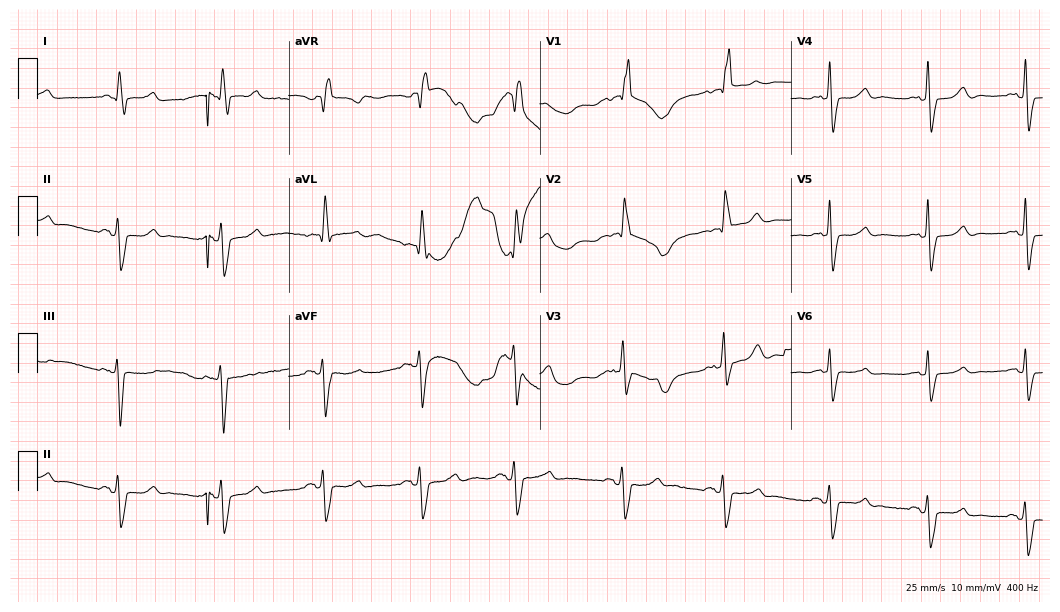
Electrocardiogram, a 78-year-old female. Interpretation includes right bundle branch block.